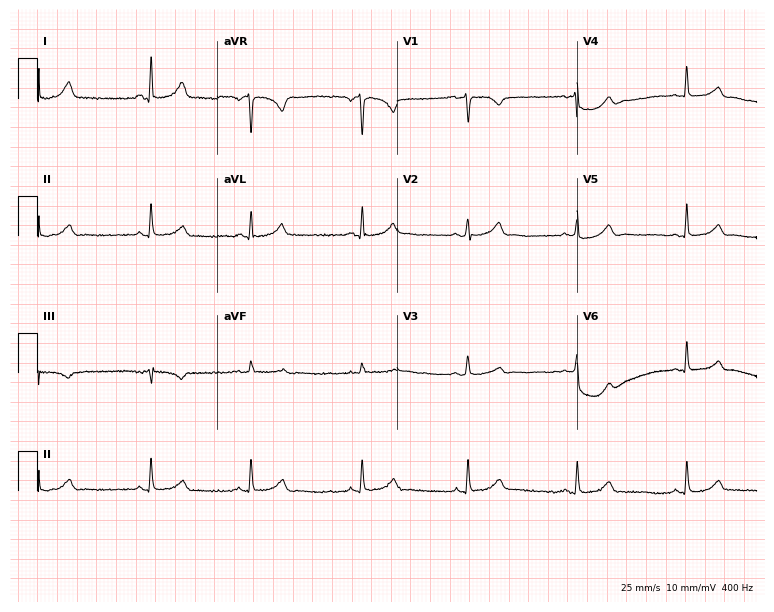
ECG — a female, 40 years old. Labelled as a normal ECG.